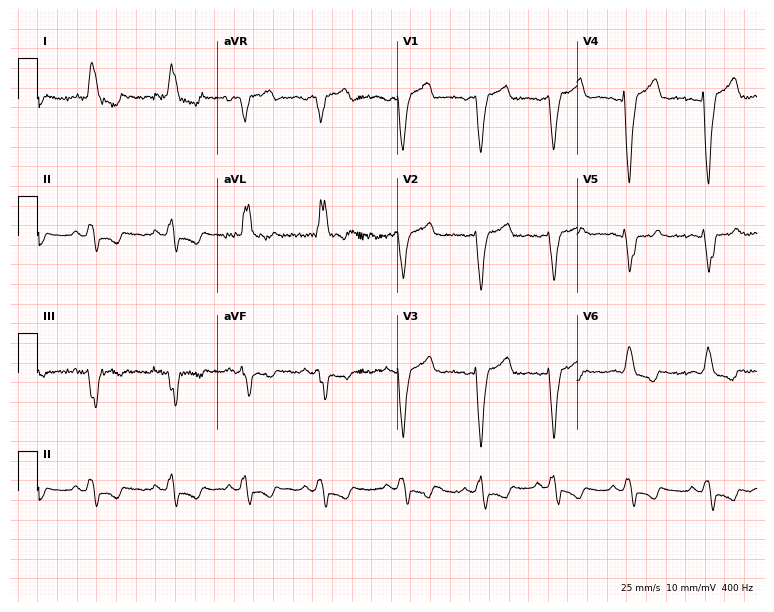
Resting 12-lead electrocardiogram (7.3-second recording at 400 Hz). Patient: a woman, 62 years old. The tracing shows left bundle branch block.